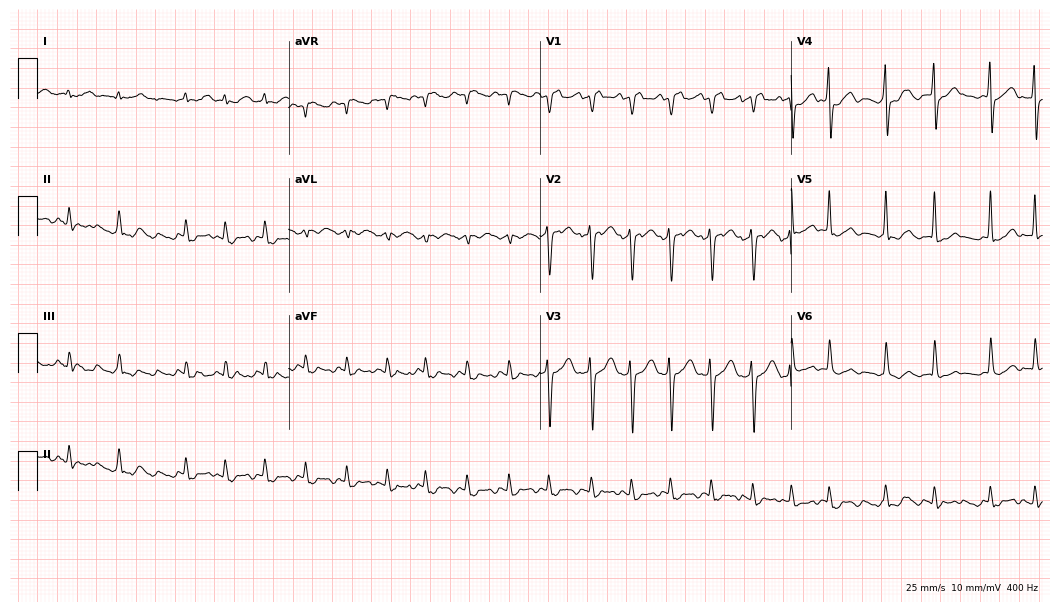
12-lead ECG (10.2-second recording at 400 Hz) from a woman, 85 years old. Screened for six findings — first-degree AV block, right bundle branch block, left bundle branch block, sinus bradycardia, atrial fibrillation, sinus tachycardia — none is recorded.